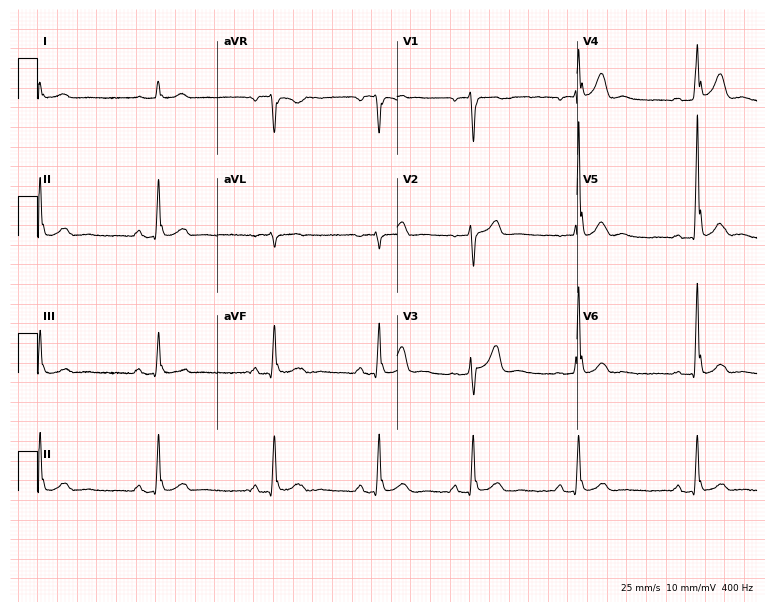
ECG (7.3-second recording at 400 Hz) — a 33-year-old male. Screened for six findings — first-degree AV block, right bundle branch block (RBBB), left bundle branch block (LBBB), sinus bradycardia, atrial fibrillation (AF), sinus tachycardia — none is recorded. Other findings, if any, are not listed.